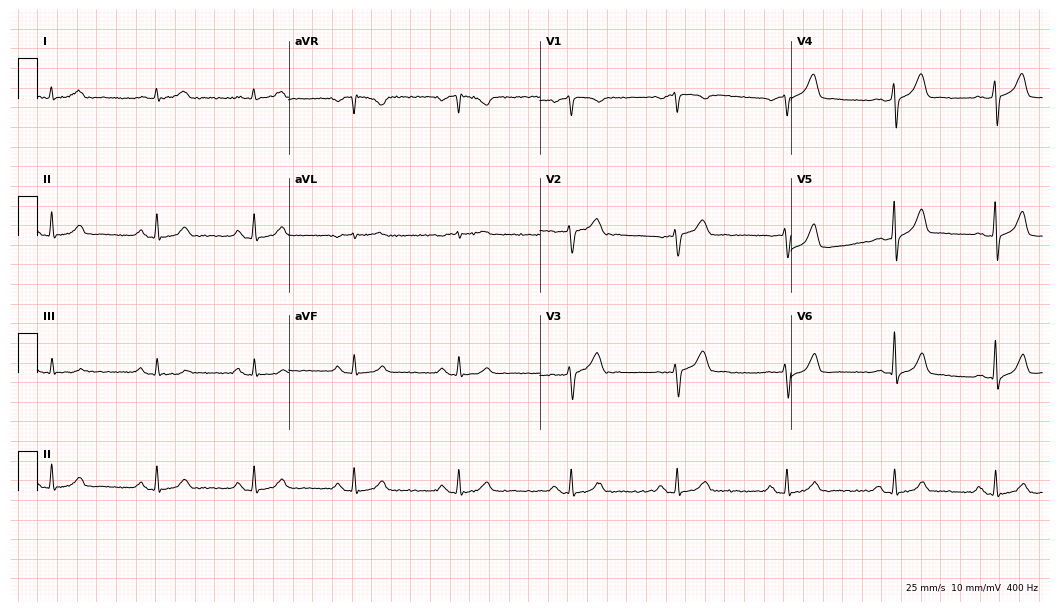
Electrocardiogram (10.2-second recording at 400 Hz), a man, 50 years old. Of the six screened findings (first-degree AV block, right bundle branch block (RBBB), left bundle branch block (LBBB), sinus bradycardia, atrial fibrillation (AF), sinus tachycardia), none is recorded.